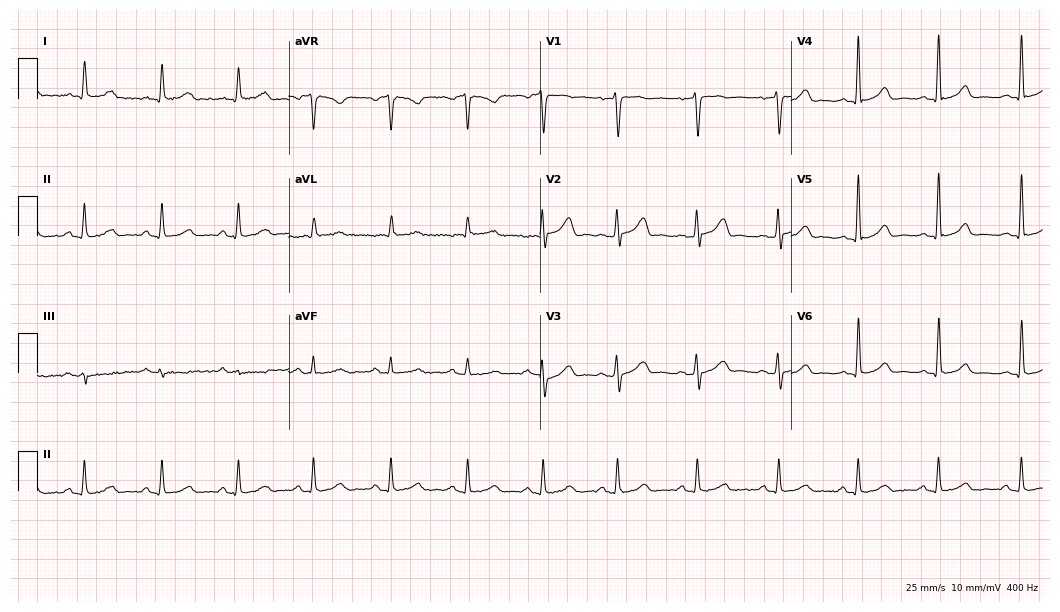
12-lead ECG (10.2-second recording at 400 Hz) from a man, 51 years old. Labelled as a normal ECG.